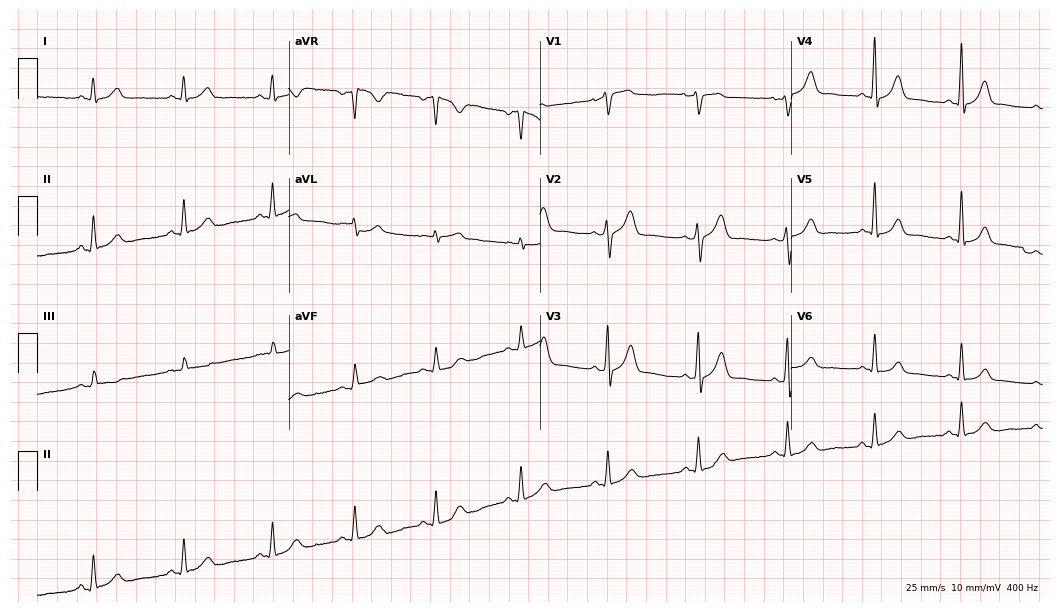
12-lead ECG from a 57-year-old male patient. Recorded interpretation: within normal limits.